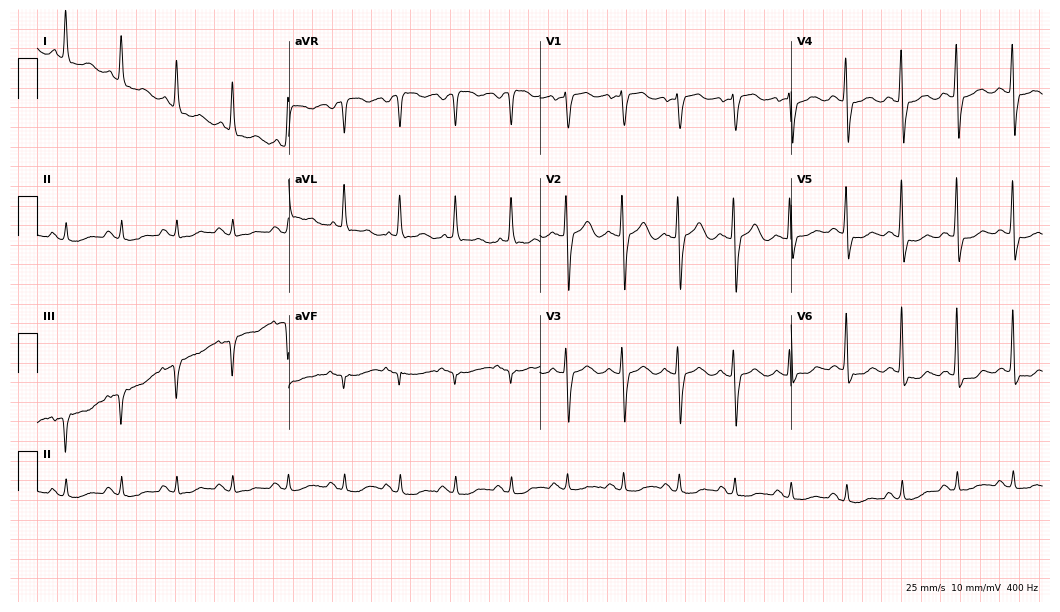
12-lead ECG from a female patient, 83 years old (10.2-second recording at 400 Hz). Recorded interpretation: within normal limits.